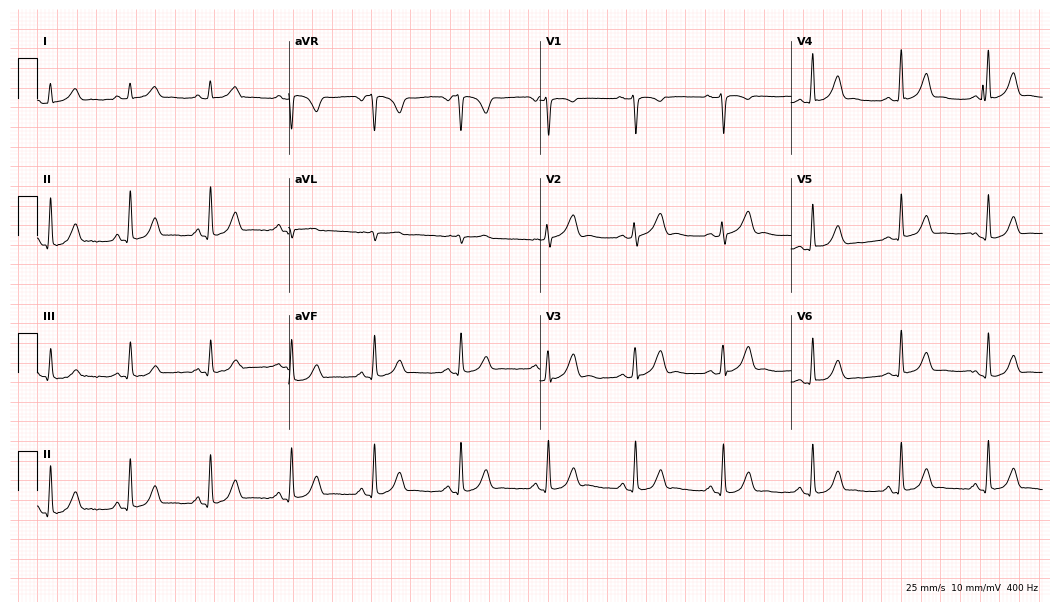
Resting 12-lead electrocardiogram (10.2-second recording at 400 Hz). Patient: a 36-year-old female. None of these six findings is recorded: first-degree AV block, right bundle branch block, left bundle branch block, sinus bradycardia, atrial fibrillation, sinus tachycardia.